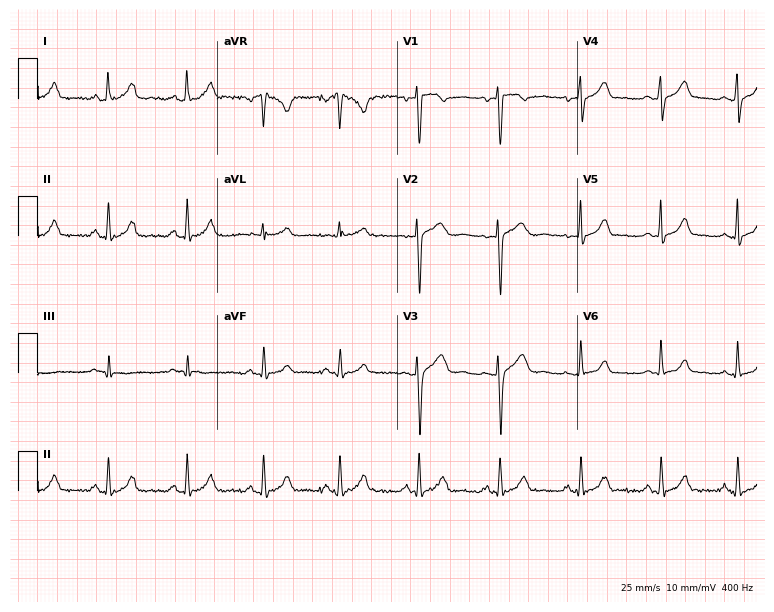
Resting 12-lead electrocardiogram (7.3-second recording at 400 Hz). Patient: a 22-year-old female. None of these six findings is recorded: first-degree AV block, right bundle branch block, left bundle branch block, sinus bradycardia, atrial fibrillation, sinus tachycardia.